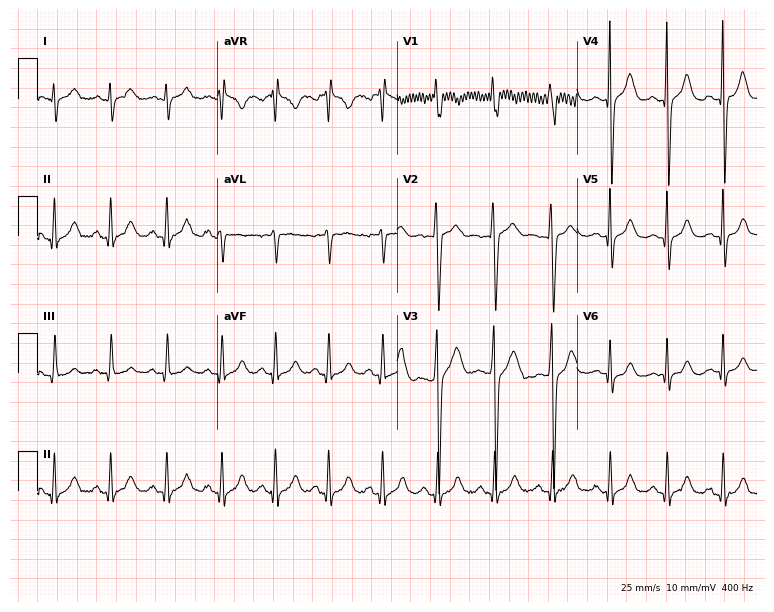
Electrocardiogram (7.3-second recording at 400 Hz), a 20-year-old man. Interpretation includes sinus tachycardia (a sinus rate of 100 beats per minute or more).